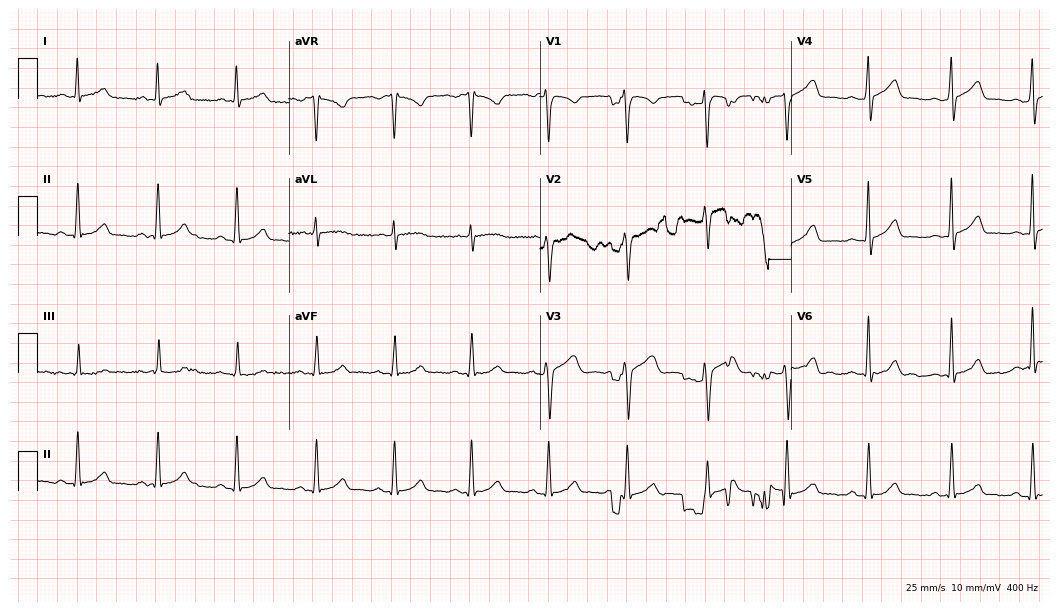
12-lead ECG from a 39-year-old female patient. Labelled as a normal ECG.